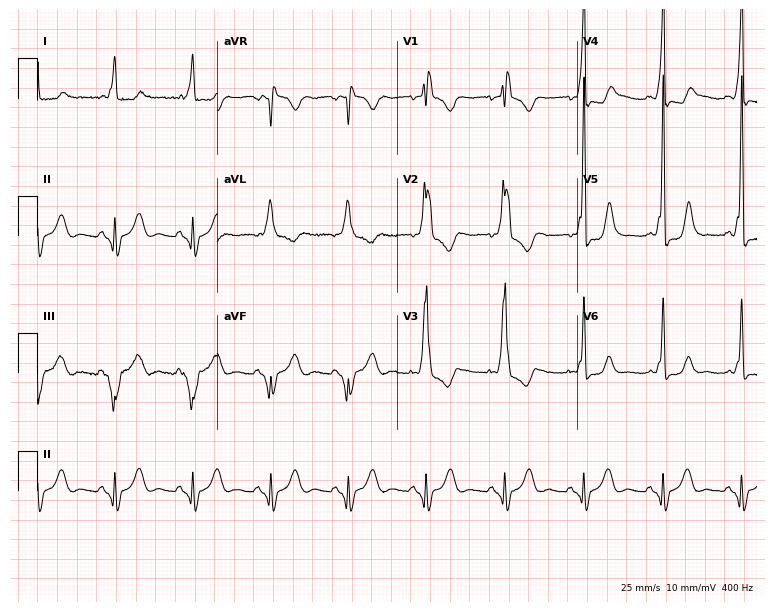
12-lead ECG from a female patient, 45 years old (7.3-second recording at 400 Hz). Shows right bundle branch block.